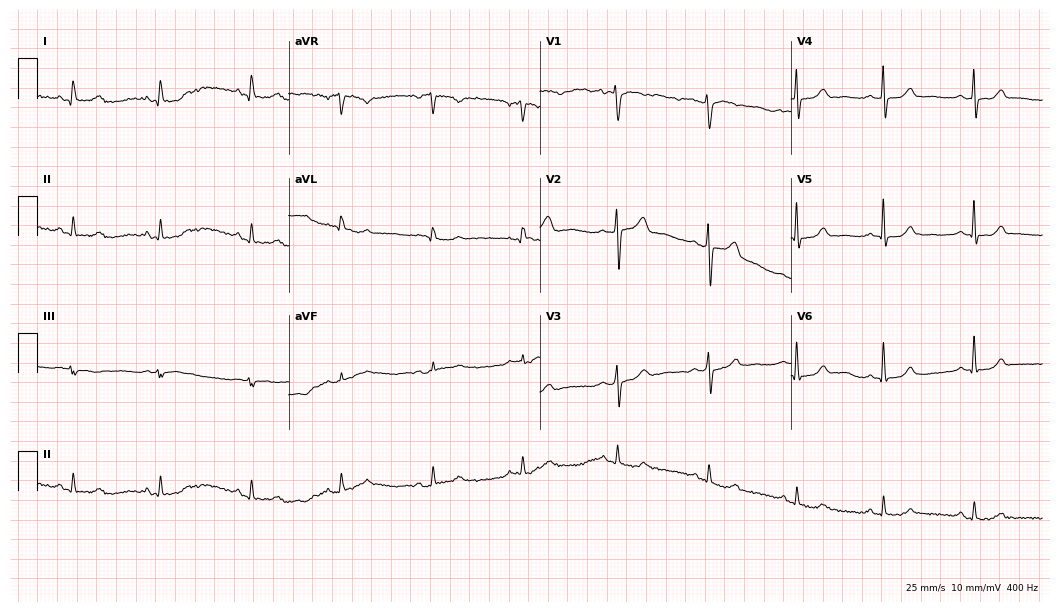
12-lead ECG from a 51-year-old female (10.2-second recording at 400 Hz). Recorded interpretation: within normal limits.